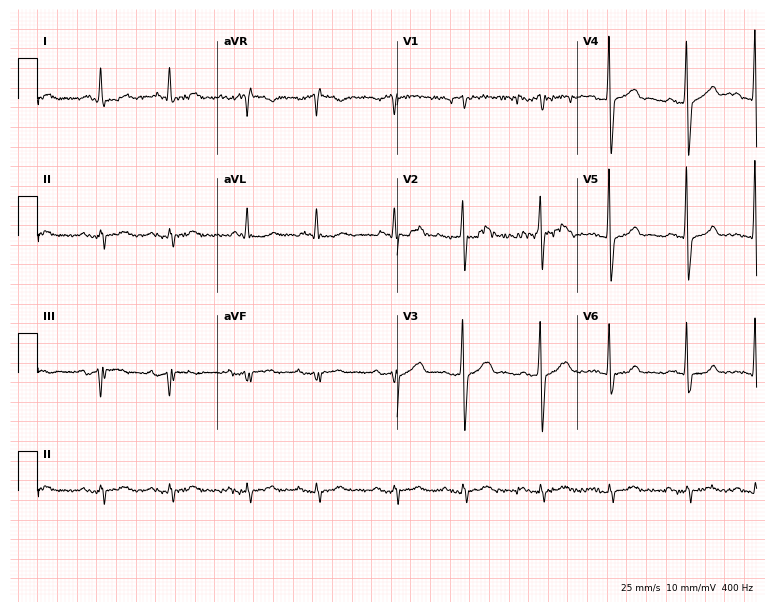
12-lead ECG from an 81-year-old male (7.3-second recording at 400 Hz). No first-degree AV block, right bundle branch block, left bundle branch block, sinus bradycardia, atrial fibrillation or sinus tachycardia recorded for this tracing. Only these six findings were labelled.